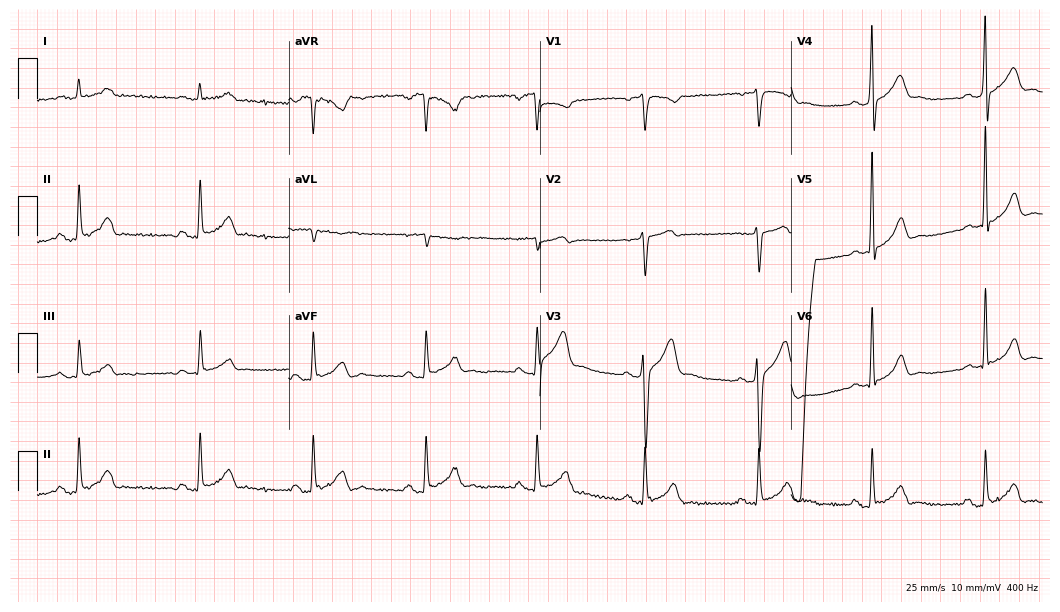
Electrocardiogram, a 47-year-old male patient. Of the six screened findings (first-degree AV block, right bundle branch block, left bundle branch block, sinus bradycardia, atrial fibrillation, sinus tachycardia), none is recorded.